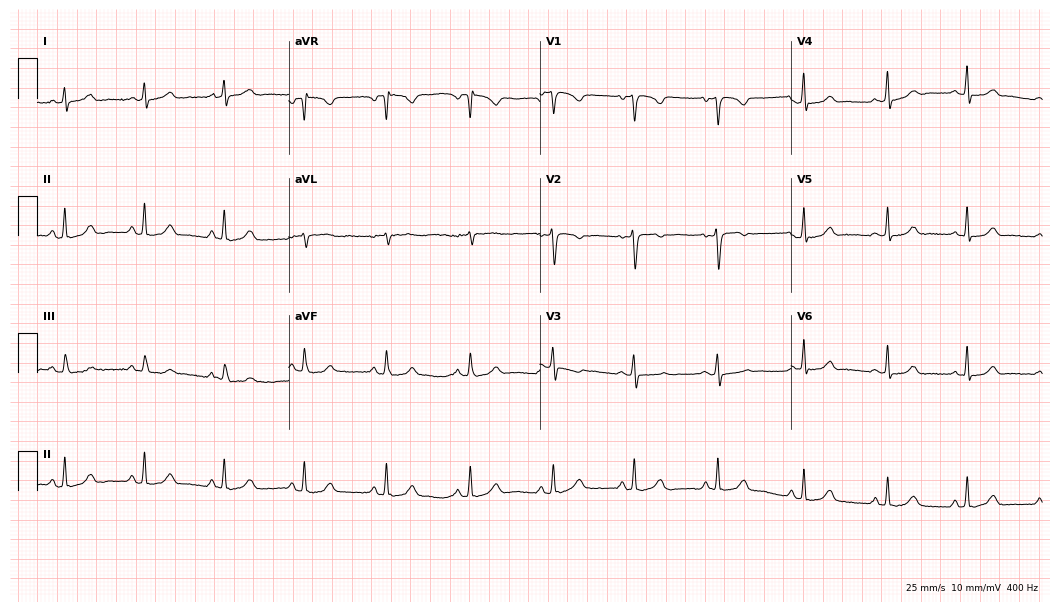
12-lead ECG (10.2-second recording at 400 Hz) from a female patient, 19 years old. Labelled as a normal ECG.